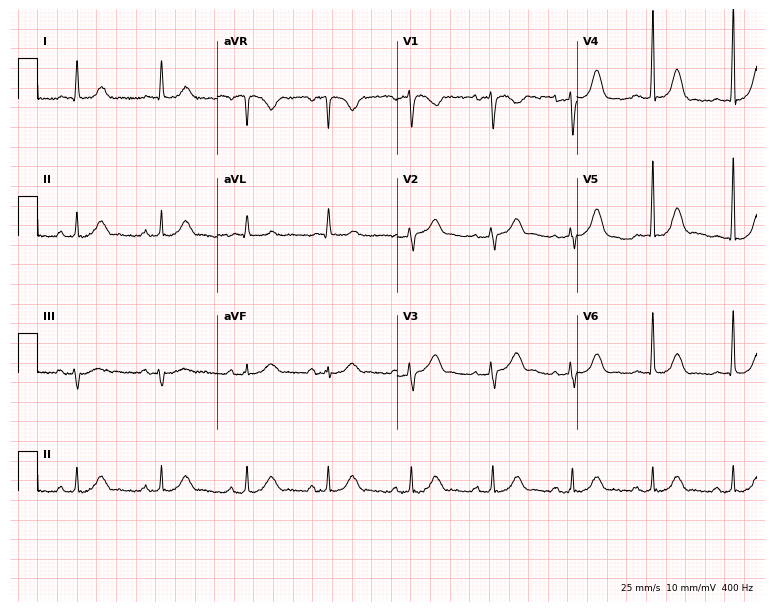
Standard 12-lead ECG recorded from an 81-year-old female patient (7.3-second recording at 400 Hz). Read as a normal ECG.